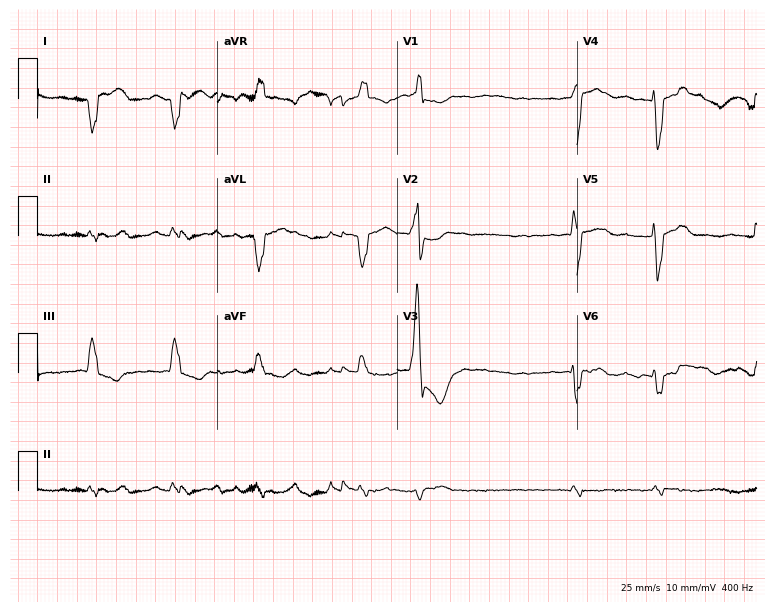
12-lead ECG from an 84-year-old man. Screened for six findings — first-degree AV block, right bundle branch block, left bundle branch block, sinus bradycardia, atrial fibrillation, sinus tachycardia — none is recorded.